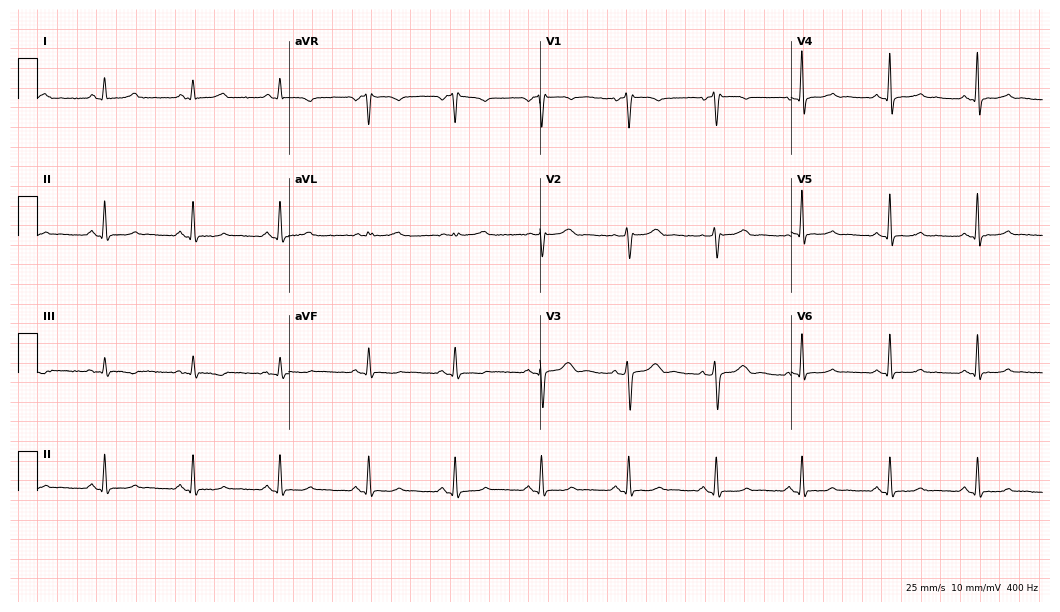
Standard 12-lead ECG recorded from a woman, 35 years old. Read as a normal ECG.